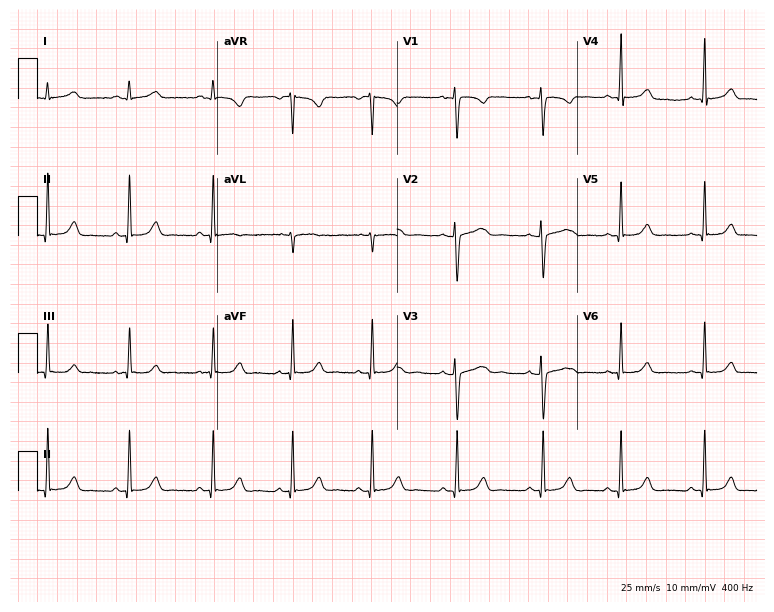
ECG (7.3-second recording at 400 Hz) — a female patient, 27 years old. Screened for six findings — first-degree AV block, right bundle branch block, left bundle branch block, sinus bradycardia, atrial fibrillation, sinus tachycardia — none is recorded.